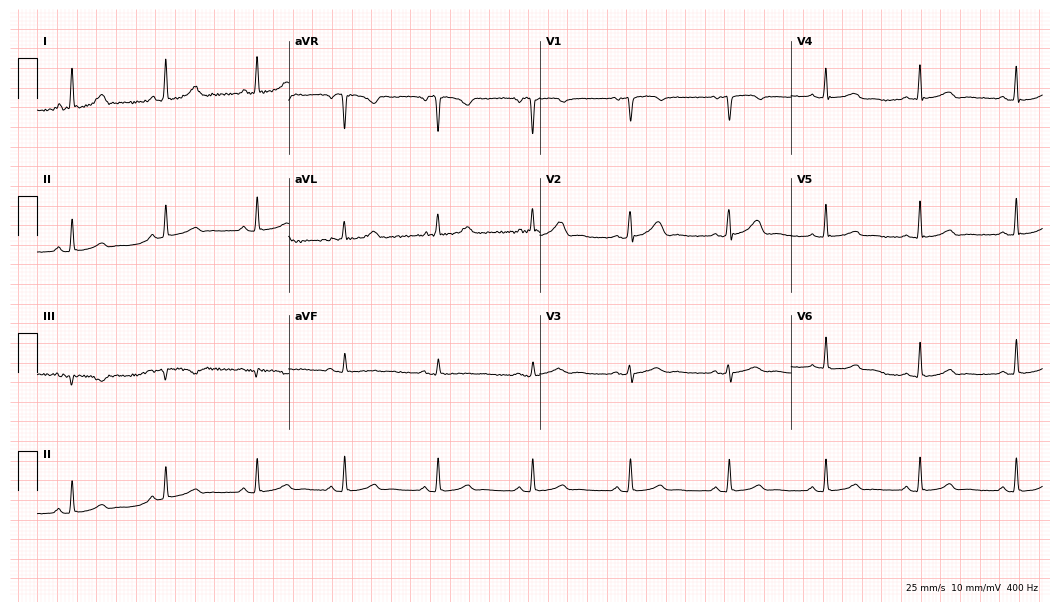
ECG — a 54-year-old woman. Screened for six findings — first-degree AV block, right bundle branch block (RBBB), left bundle branch block (LBBB), sinus bradycardia, atrial fibrillation (AF), sinus tachycardia — none is recorded. Findings outside these six are not listed.